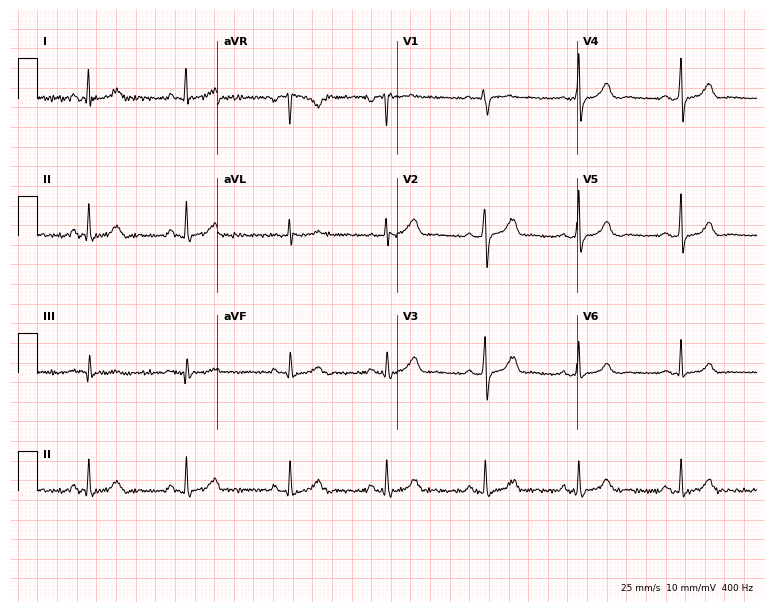
ECG (7.3-second recording at 400 Hz) — a 37-year-old female. Labelled as a normal ECG.